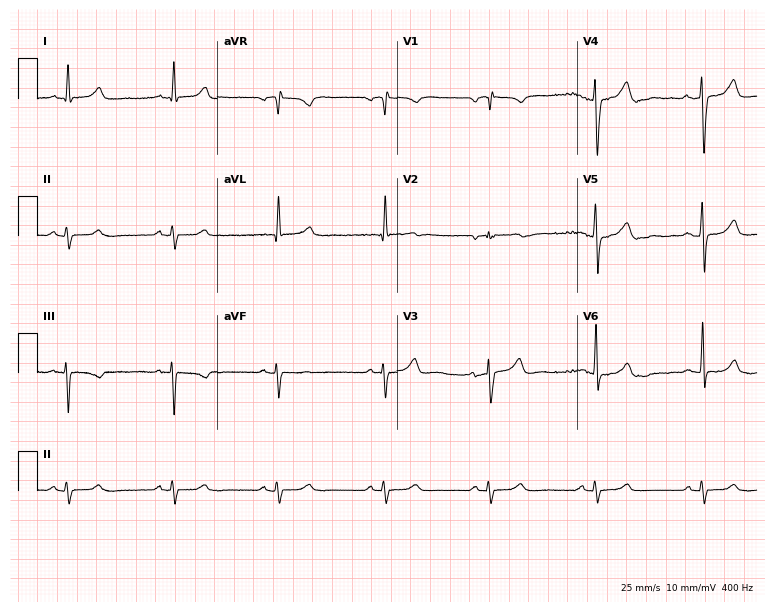
Electrocardiogram (7.3-second recording at 400 Hz), a 68-year-old male. Of the six screened findings (first-degree AV block, right bundle branch block (RBBB), left bundle branch block (LBBB), sinus bradycardia, atrial fibrillation (AF), sinus tachycardia), none is recorded. Findings outside these six are not listed.